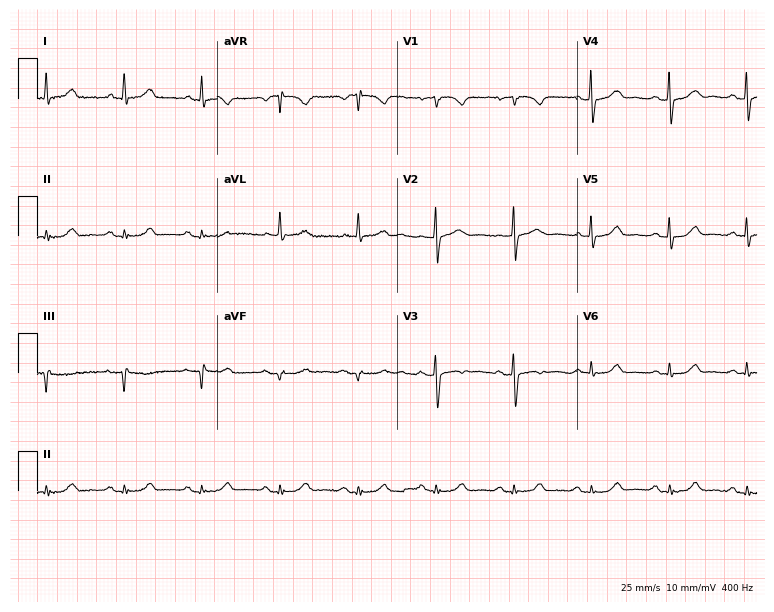
ECG — an 83-year-old man. Labelled as a normal ECG.